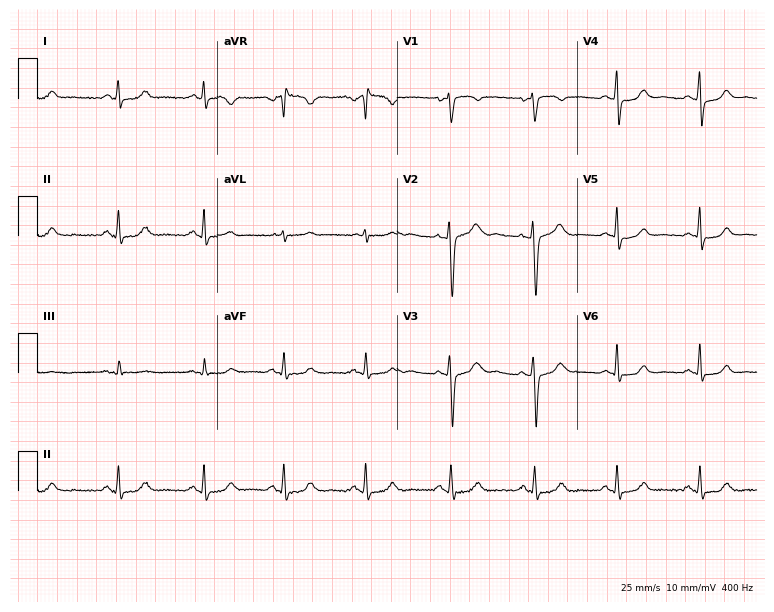
12-lead ECG from a 41-year-old female. Labelled as a normal ECG.